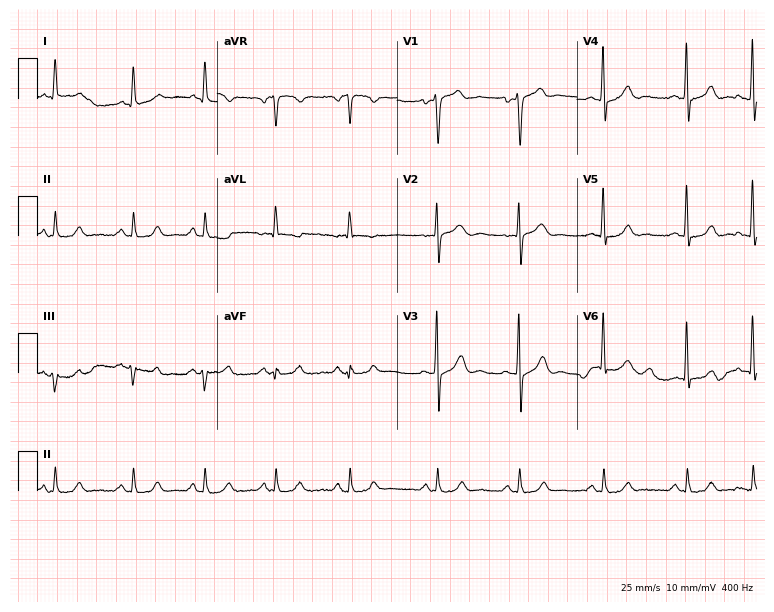
Resting 12-lead electrocardiogram (7.3-second recording at 400 Hz). Patient: a 67-year-old male. None of these six findings is recorded: first-degree AV block, right bundle branch block, left bundle branch block, sinus bradycardia, atrial fibrillation, sinus tachycardia.